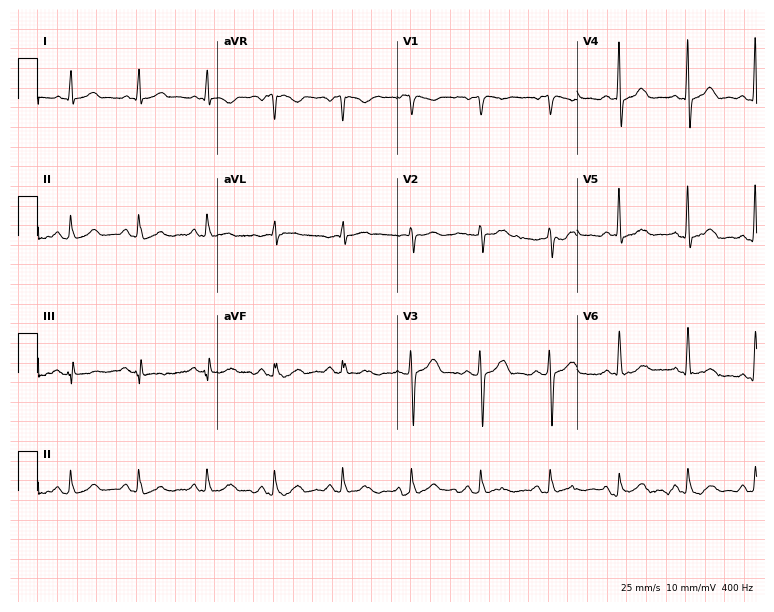
ECG — a male, 60 years old. Labelled as a normal ECG.